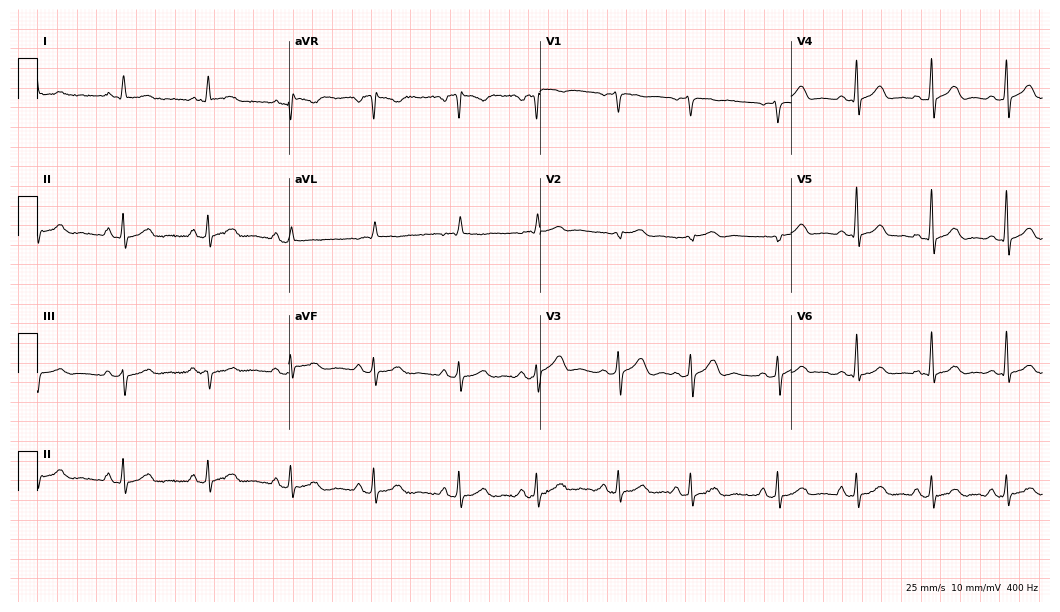
Standard 12-lead ECG recorded from a male patient, 62 years old (10.2-second recording at 400 Hz). Read as a normal ECG.